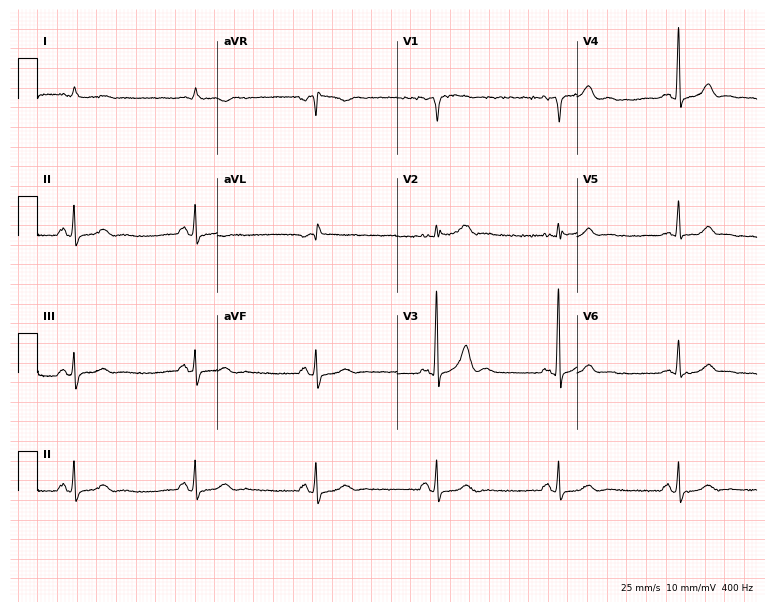
ECG (7.3-second recording at 400 Hz) — a man, 60 years old. Labelled as a normal ECG.